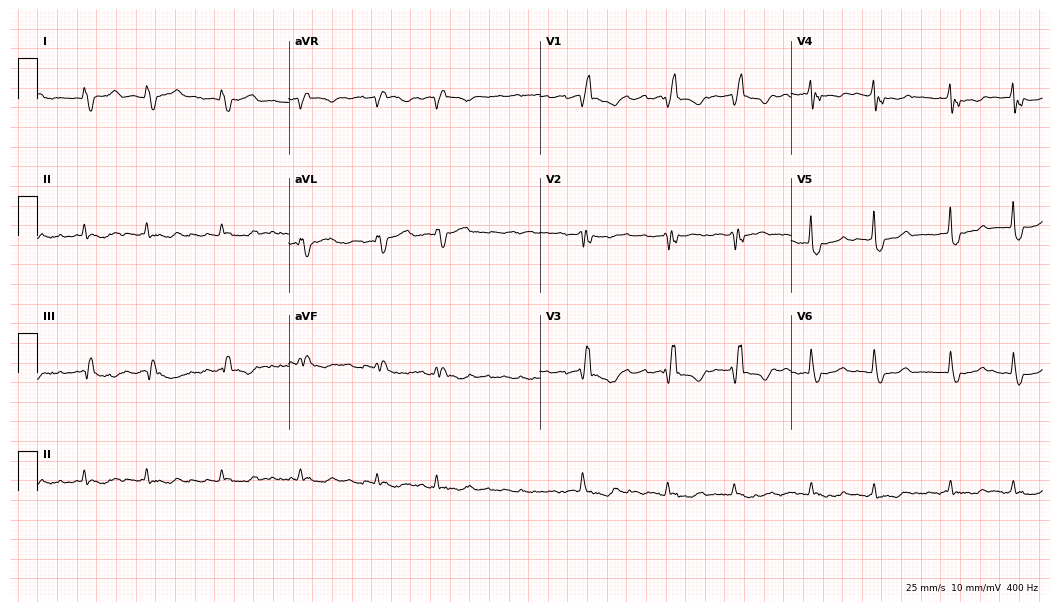
ECG (10.2-second recording at 400 Hz) — a female patient, 79 years old. Findings include right bundle branch block, atrial fibrillation.